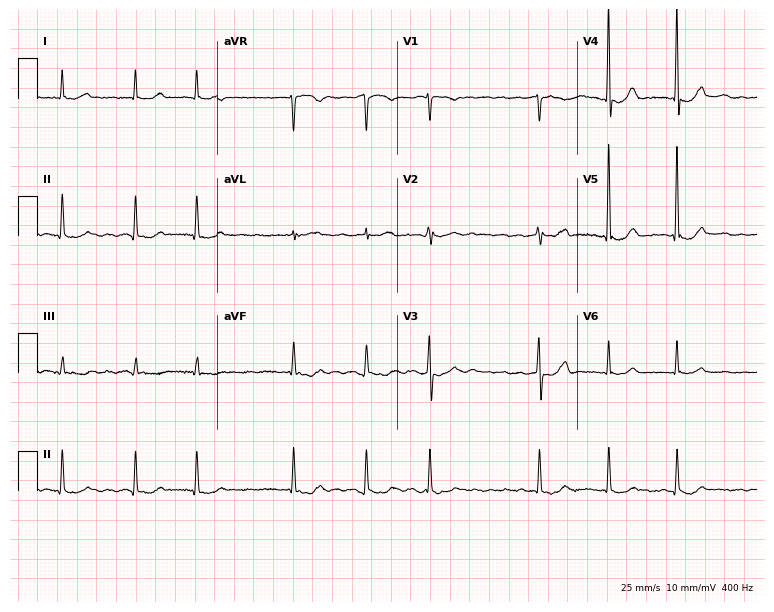
12-lead ECG from a 79-year-old woman. Findings include atrial fibrillation.